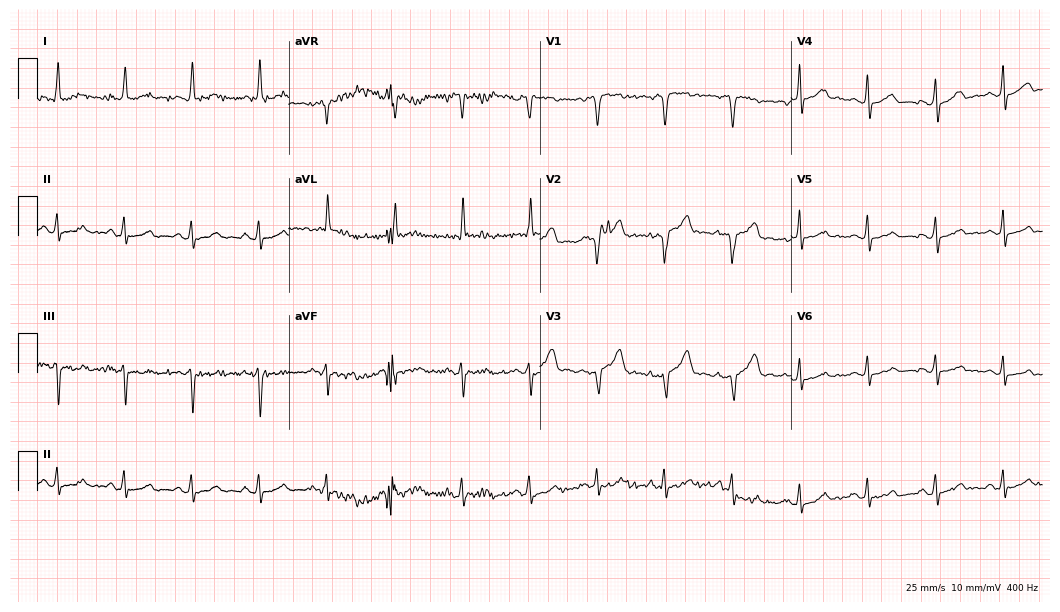
Resting 12-lead electrocardiogram (10.2-second recording at 400 Hz). Patient: a male, 74 years old. None of these six findings is recorded: first-degree AV block, right bundle branch block, left bundle branch block, sinus bradycardia, atrial fibrillation, sinus tachycardia.